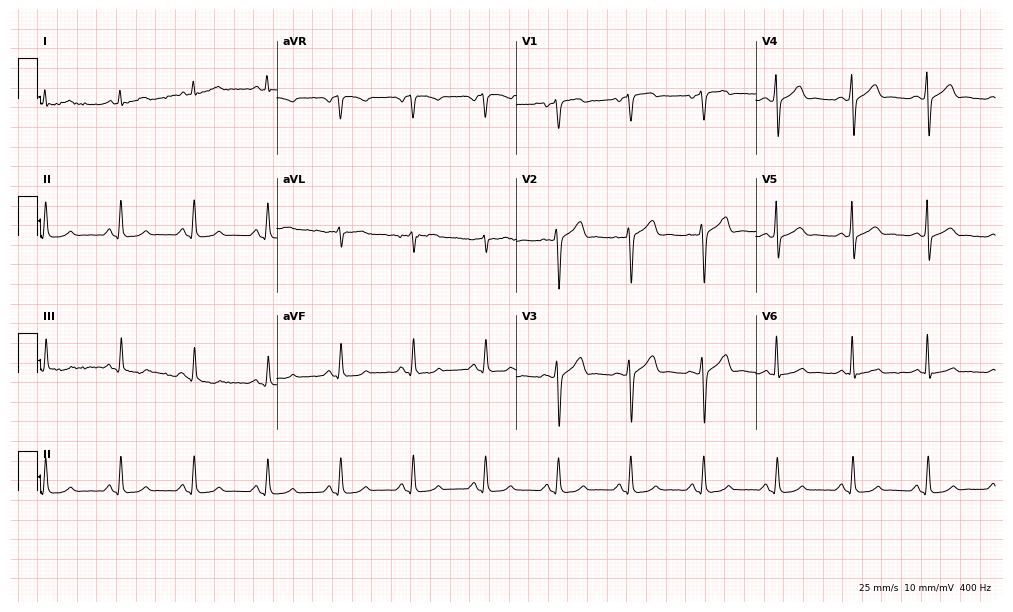
Standard 12-lead ECG recorded from a male patient, 39 years old (9.8-second recording at 400 Hz). None of these six findings is recorded: first-degree AV block, right bundle branch block (RBBB), left bundle branch block (LBBB), sinus bradycardia, atrial fibrillation (AF), sinus tachycardia. Findings outside these six are not listed.